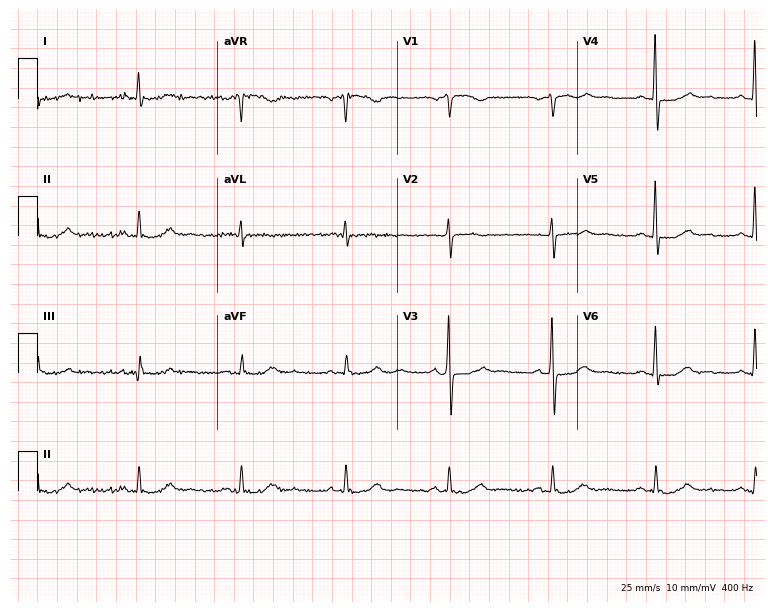
ECG (7.3-second recording at 400 Hz) — a male patient, 56 years old. Labelled as a normal ECG.